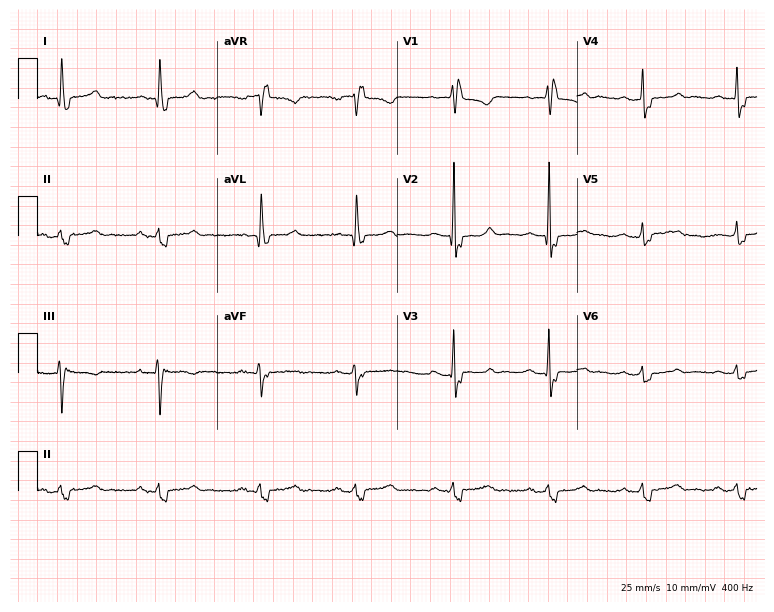
Electrocardiogram (7.3-second recording at 400 Hz), a male patient, 55 years old. Interpretation includes right bundle branch block (RBBB).